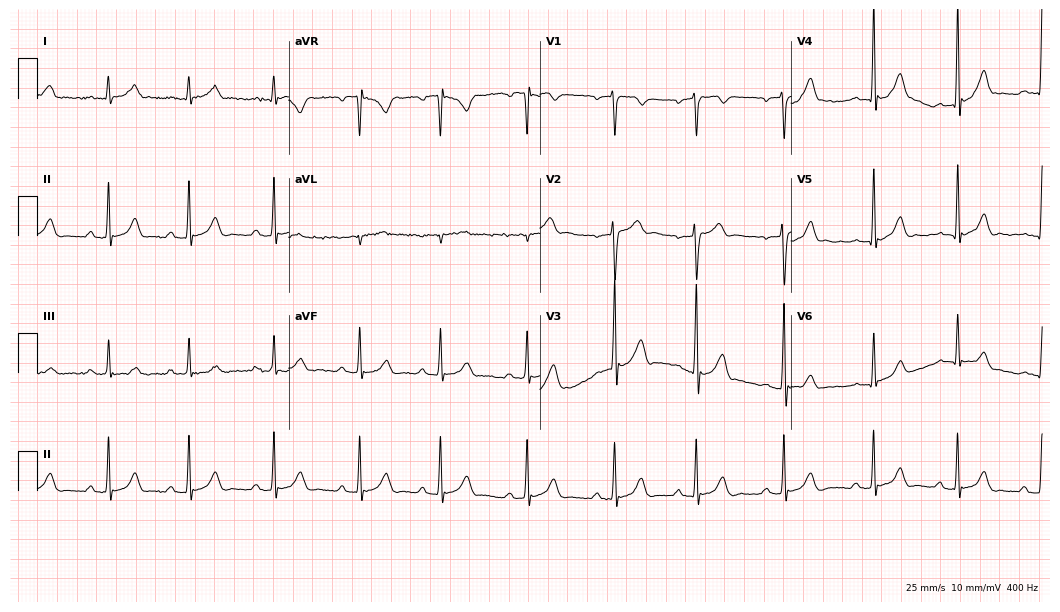
12-lead ECG from a 19-year-old male. Recorded interpretation: within normal limits.